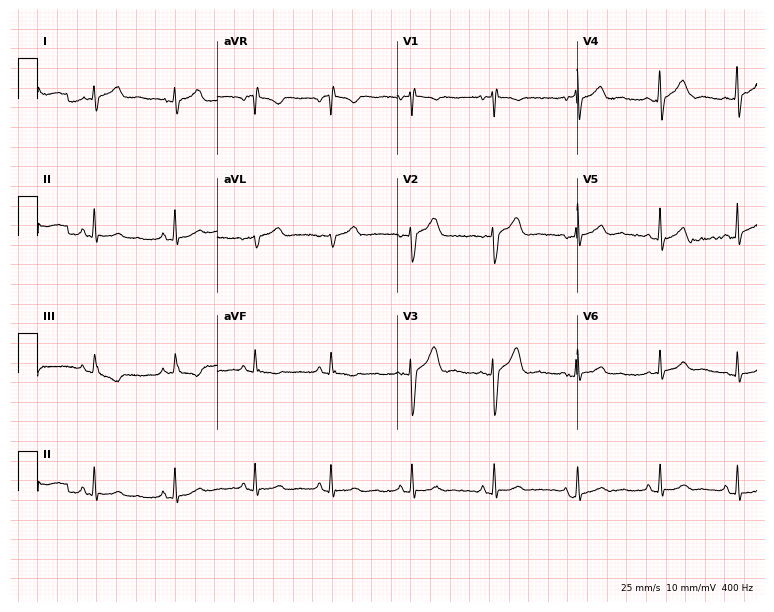
ECG (7.3-second recording at 400 Hz) — a male, 21 years old. Screened for six findings — first-degree AV block, right bundle branch block, left bundle branch block, sinus bradycardia, atrial fibrillation, sinus tachycardia — none is recorded.